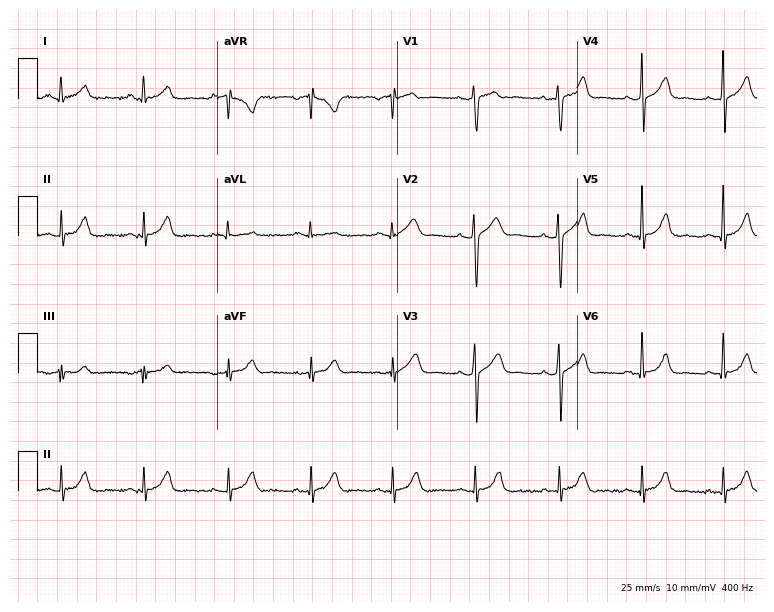
Standard 12-lead ECG recorded from a 39-year-old man. Read as a normal ECG.